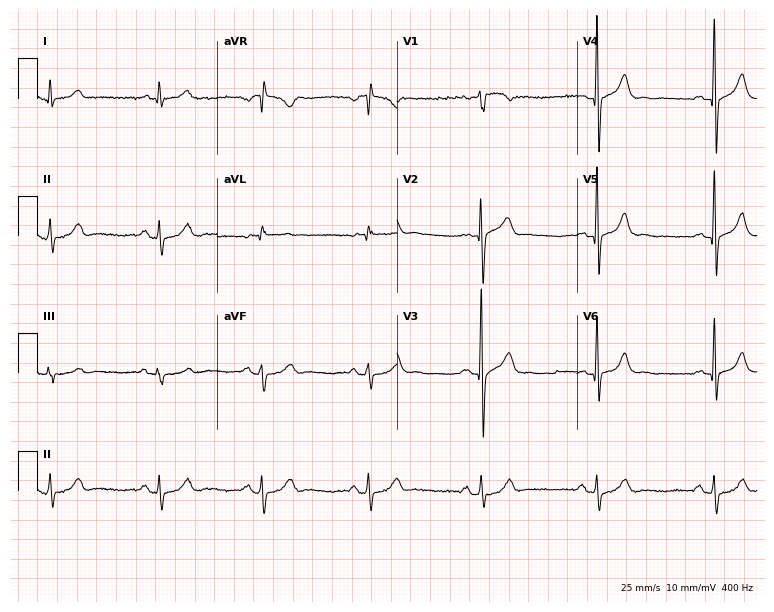
12-lead ECG from a man, 37 years old (7.3-second recording at 400 Hz). No first-degree AV block, right bundle branch block, left bundle branch block, sinus bradycardia, atrial fibrillation or sinus tachycardia recorded for this tracing.